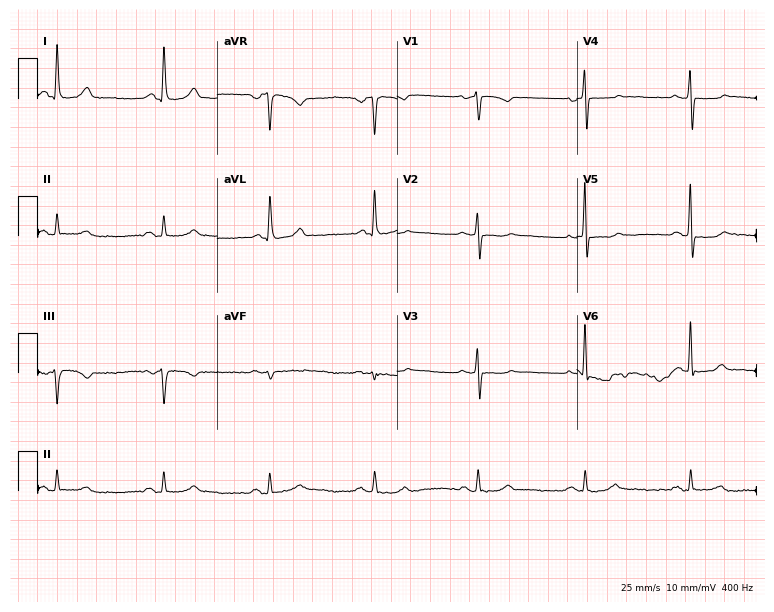
12-lead ECG from a 69-year-old female. Screened for six findings — first-degree AV block, right bundle branch block, left bundle branch block, sinus bradycardia, atrial fibrillation, sinus tachycardia — none is recorded. Only these six findings were labelled.